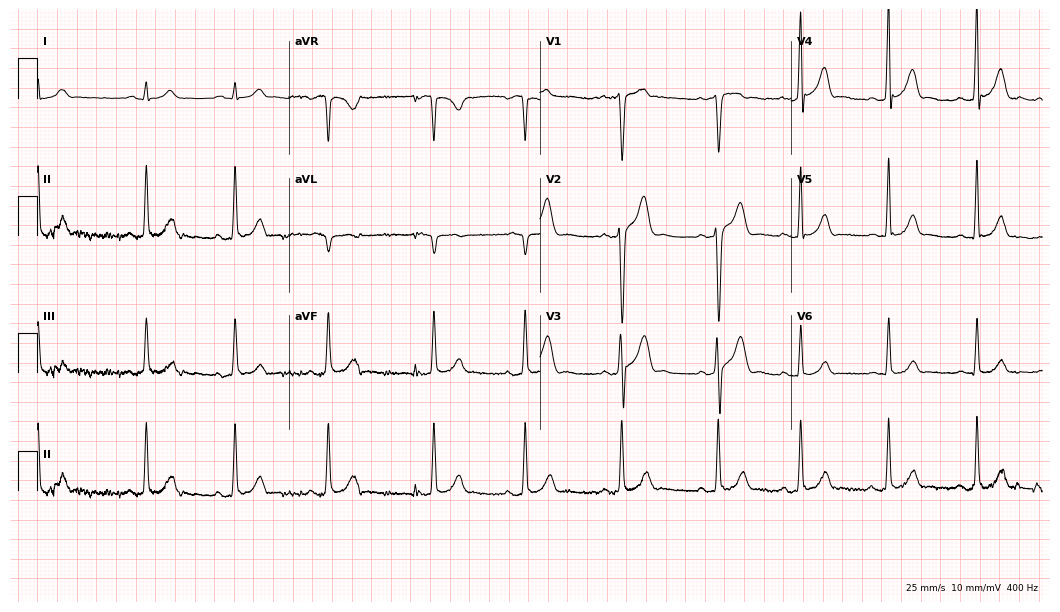
Resting 12-lead electrocardiogram (10.2-second recording at 400 Hz). Patient: a man, 17 years old. Read as a normal ECG.